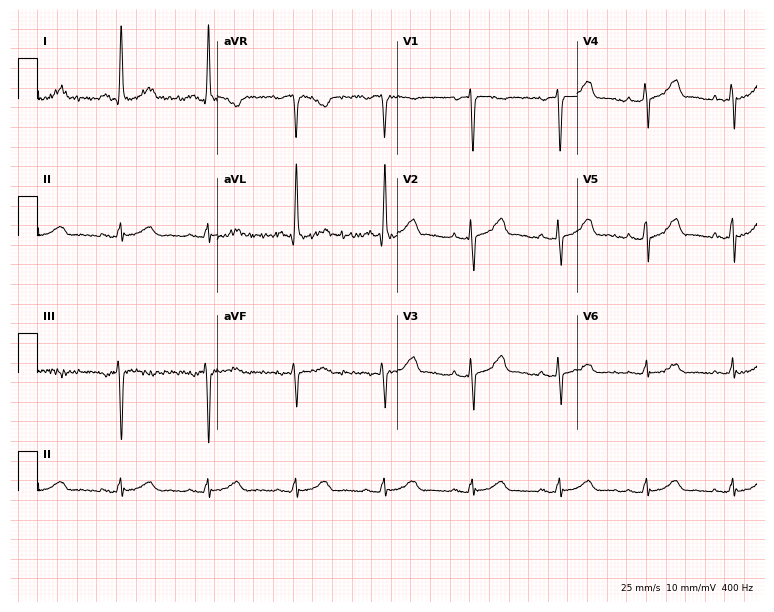
Resting 12-lead electrocardiogram (7.3-second recording at 400 Hz). Patient: a 79-year-old female. None of these six findings is recorded: first-degree AV block, right bundle branch block, left bundle branch block, sinus bradycardia, atrial fibrillation, sinus tachycardia. Other findings, if any, are not listed.